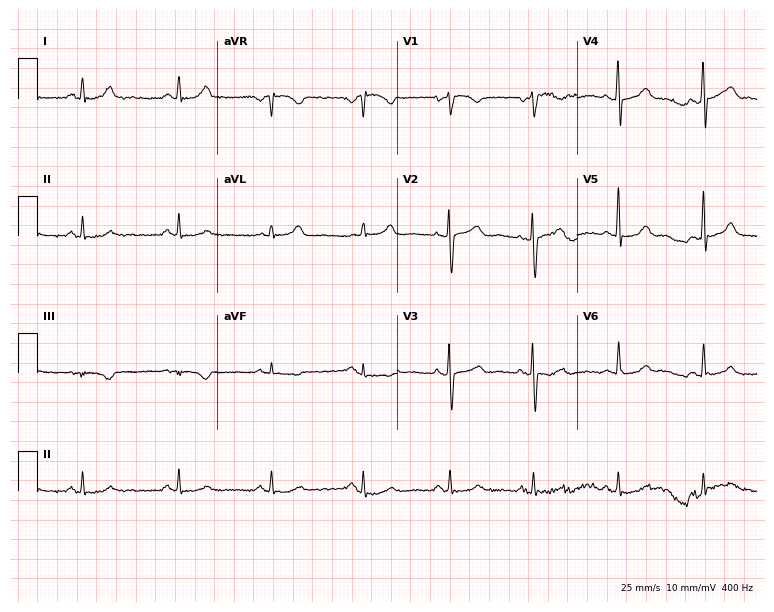
Resting 12-lead electrocardiogram (7.3-second recording at 400 Hz). Patient: a woman, 42 years old. None of these six findings is recorded: first-degree AV block, right bundle branch block, left bundle branch block, sinus bradycardia, atrial fibrillation, sinus tachycardia.